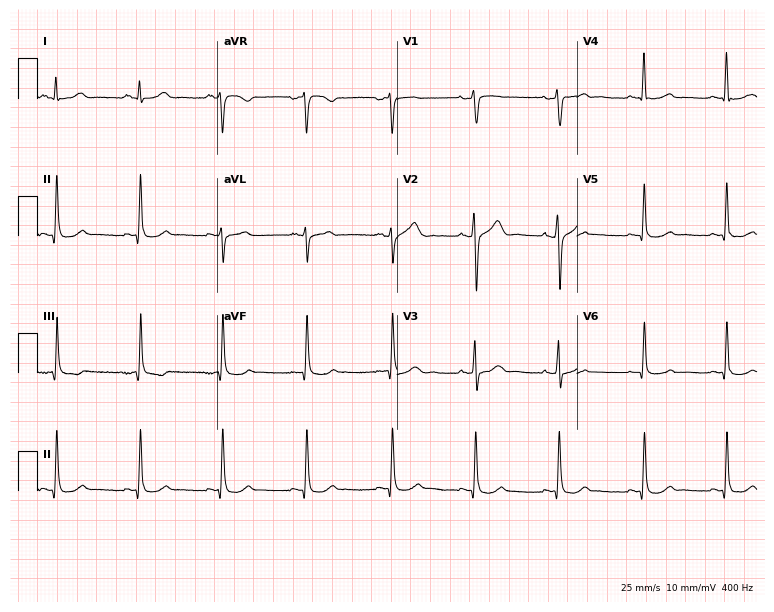
12-lead ECG from a male, 32 years old (7.3-second recording at 400 Hz). Recorded interpretation: within normal limits.